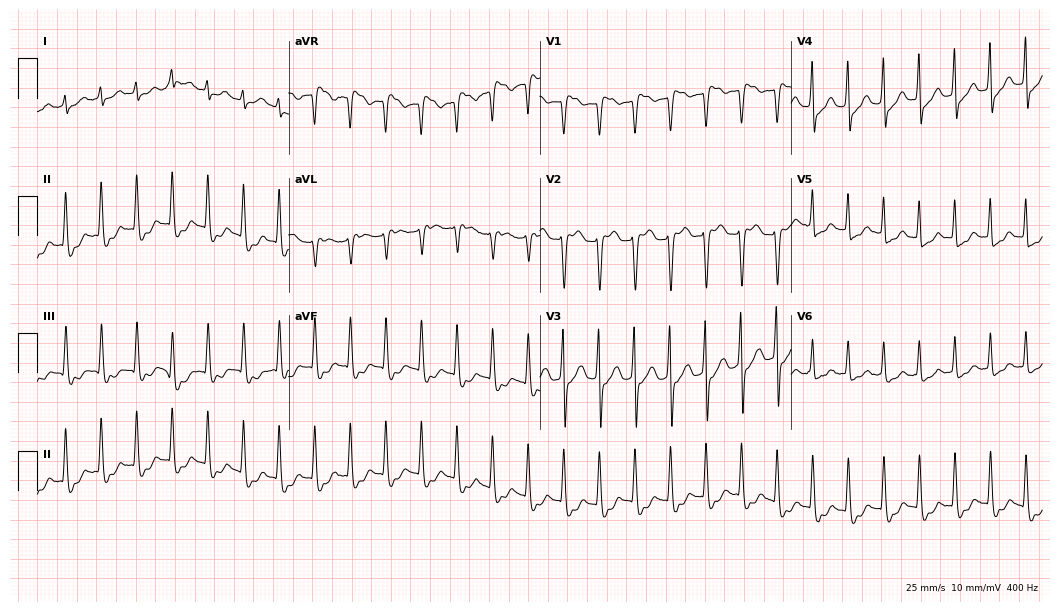
ECG (10.2-second recording at 400 Hz) — a female patient, 74 years old. Screened for six findings — first-degree AV block, right bundle branch block, left bundle branch block, sinus bradycardia, atrial fibrillation, sinus tachycardia — none is recorded.